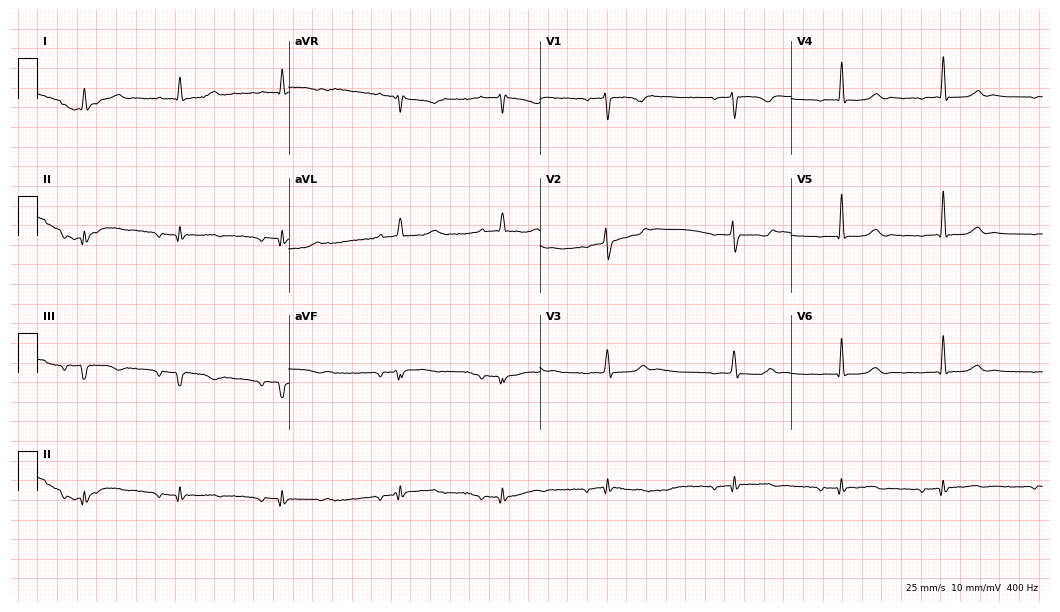
12-lead ECG from an 81-year-old man (10.2-second recording at 400 Hz). No first-degree AV block, right bundle branch block, left bundle branch block, sinus bradycardia, atrial fibrillation or sinus tachycardia recorded for this tracing. Other findings, if any, are not listed.